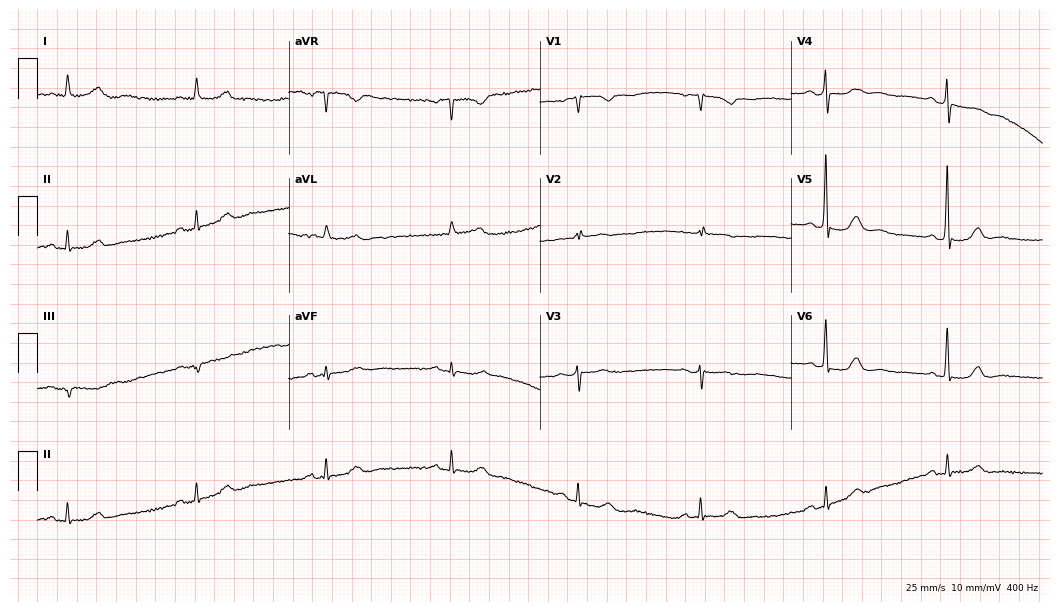
Standard 12-lead ECG recorded from a female patient, 68 years old. Read as a normal ECG.